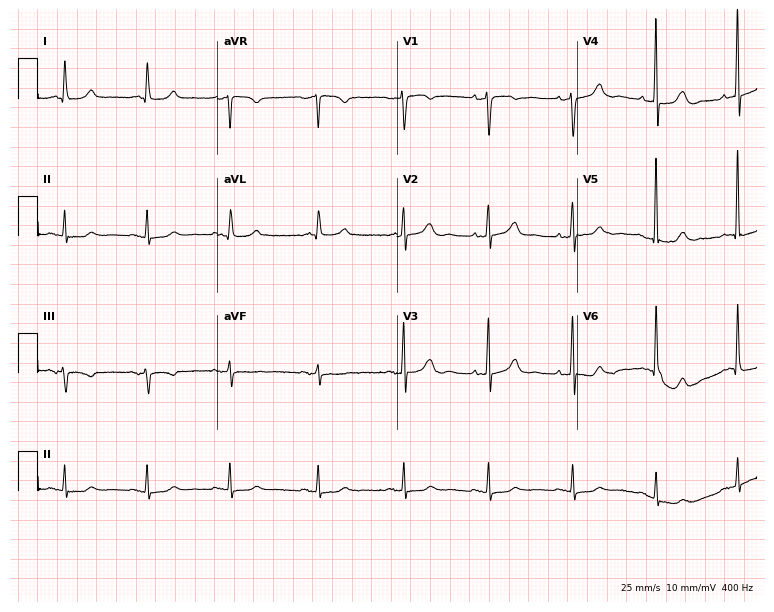
Electrocardiogram, a woman, 66 years old. Overall reading on record: normal ECG.